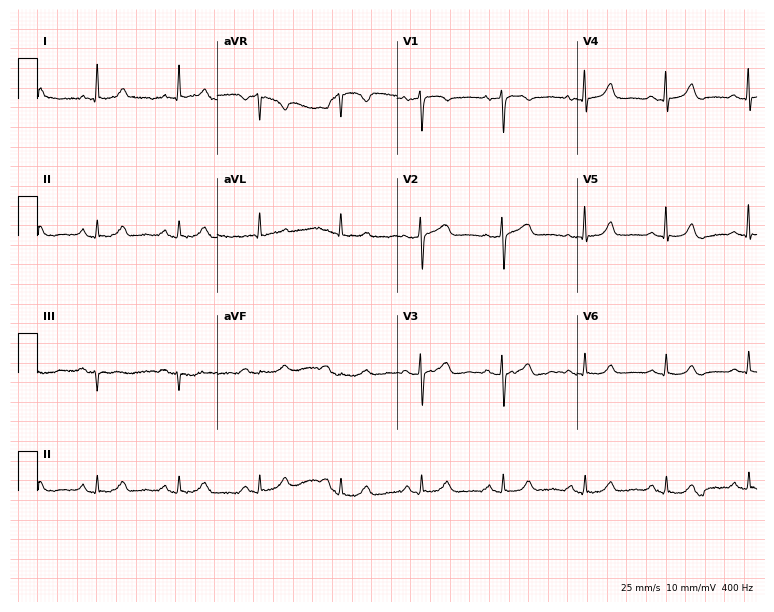
12-lead ECG from a 76-year-old female patient. Screened for six findings — first-degree AV block, right bundle branch block, left bundle branch block, sinus bradycardia, atrial fibrillation, sinus tachycardia — none is recorded. Only these six findings were labelled.